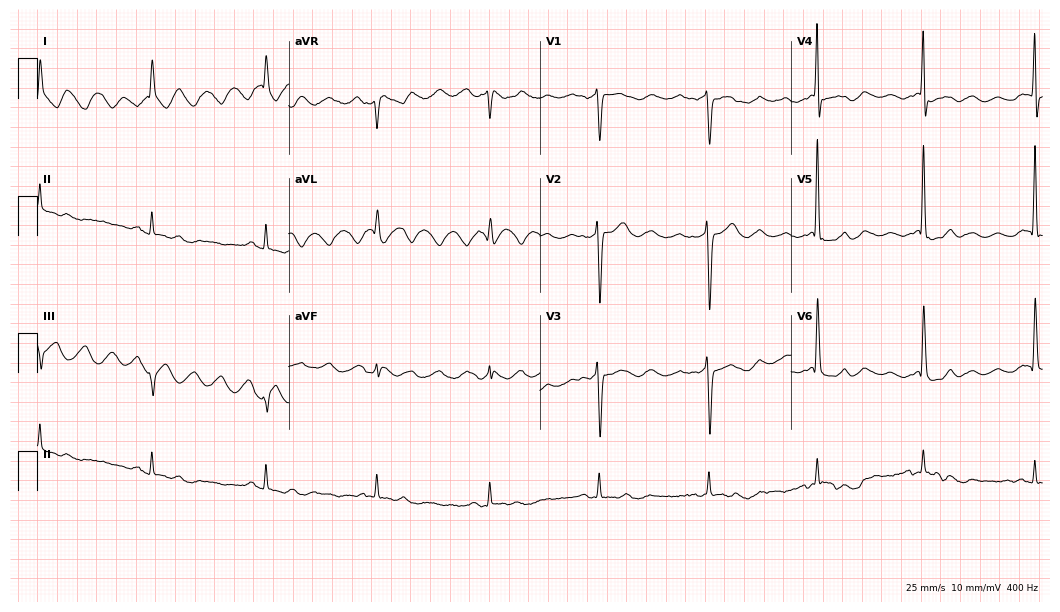
Standard 12-lead ECG recorded from an 82-year-old man. None of these six findings is recorded: first-degree AV block, right bundle branch block, left bundle branch block, sinus bradycardia, atrial fibrillation, sinus tachycardia. Other findings, if any, are not listed.